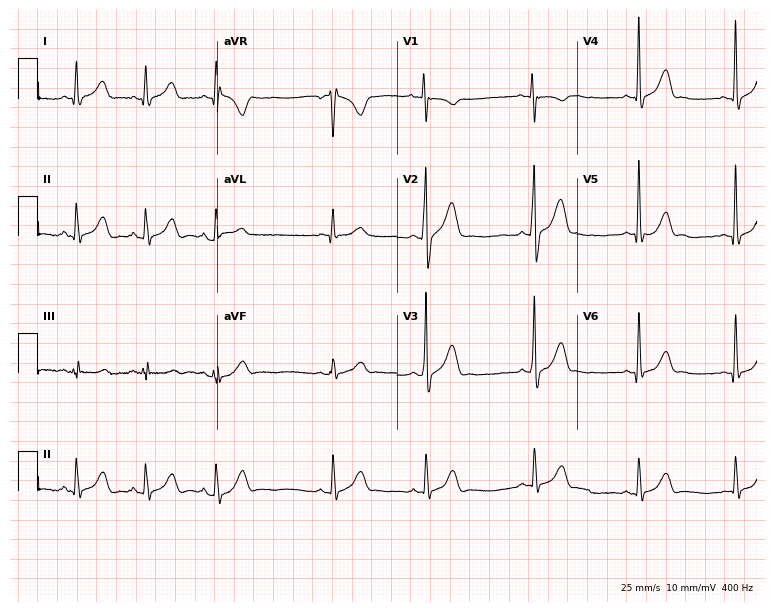
Resting 12-lead electrocardiogram (7.3-second recording at 400 Hz). Patient: a male, 31 years old. Read as a normal ECG.